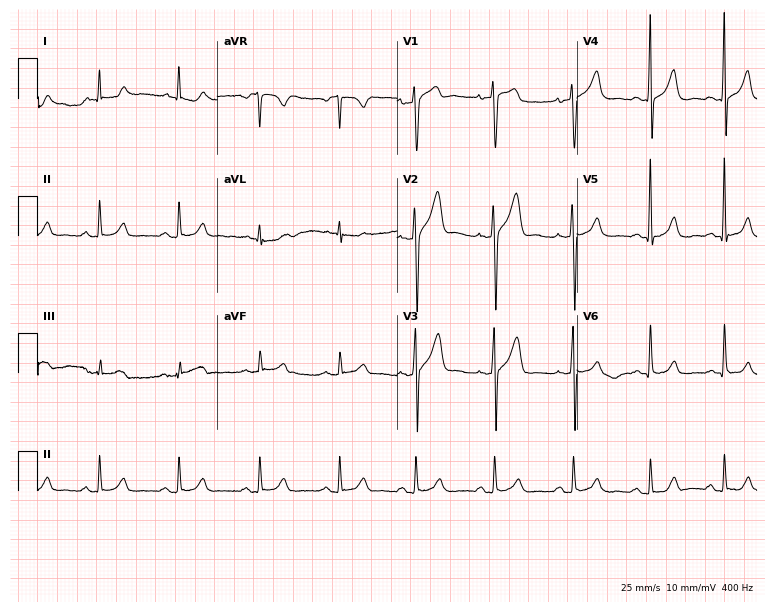
Resting 12-lead electrocardiogram. Patient: a male, 24 years old. Read as a normal ECG.